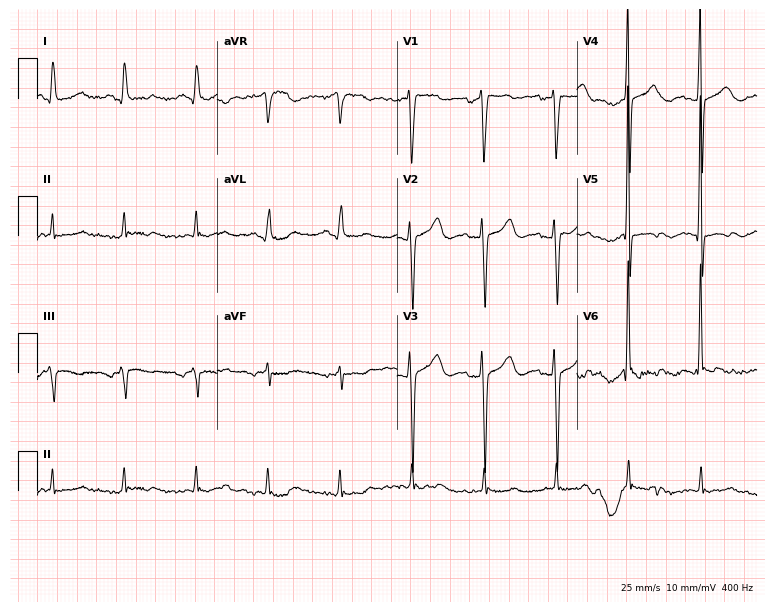
ECG (7.3-second recording at 400 Hz) — a 50-year-old woman. Screened for six findings — first-degree AV block, right bundle branch block, left bundle branch block, sinus bradycardia, atrial fibrillation, sinus tachycardia — none is recorded.